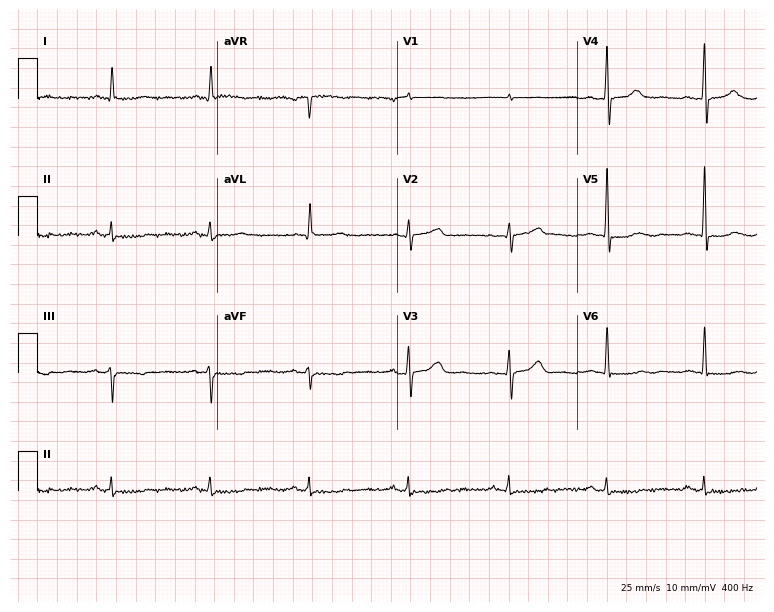
ECG — a 59-year-old man. Screened for six findings — first-degree AV block, right bundle branch block (RBBB), left bundle branch block (LBBB), sinus bradycardia, atrial fibrillation (AF), sinus tachycardia — none is recorded.